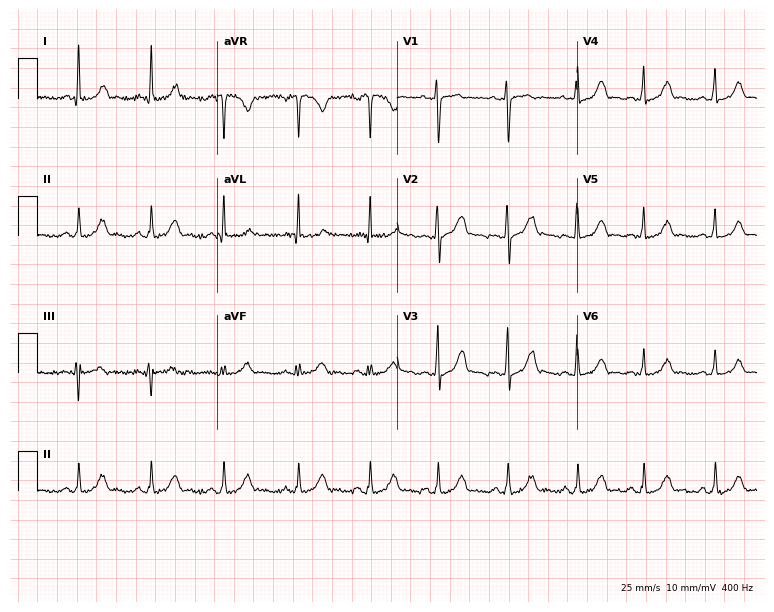
12-lead ECG from a female, 31 years old (7.3-second recording at 400 Hz). Recorded interpretation: within normal limits.